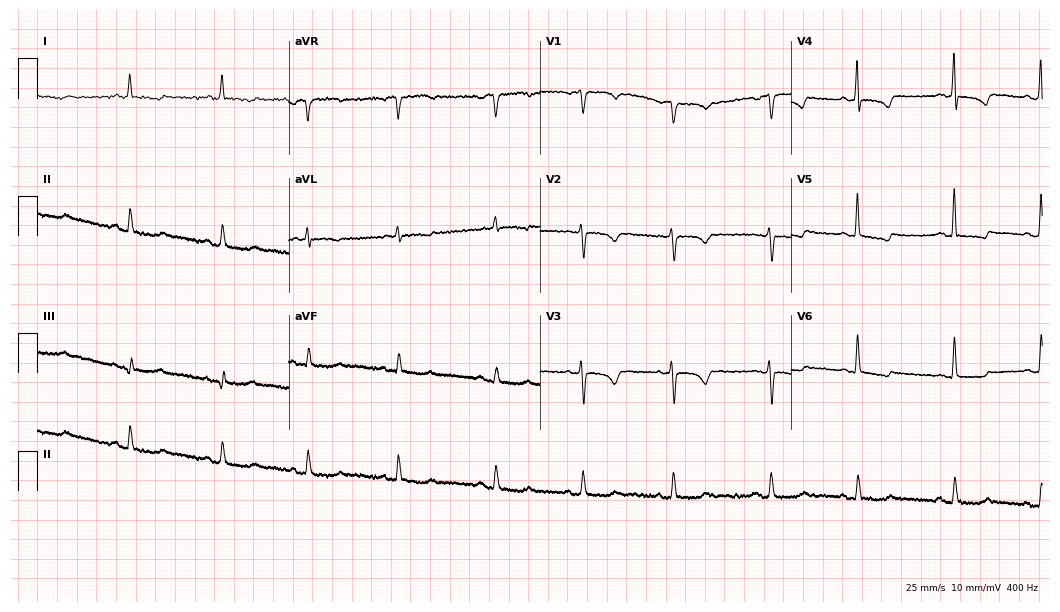
Resting 12-lead electrocardiogram (10.2-second recording at 400 Hz). Patient: a female, 83 years old. None of these six findings is recorded: first-degree AV block, right bundle branch block, left bundle branch block, sinus bradycardia, atrial fibrillation, sinus tachycardia. Findings outside these six are not listed.